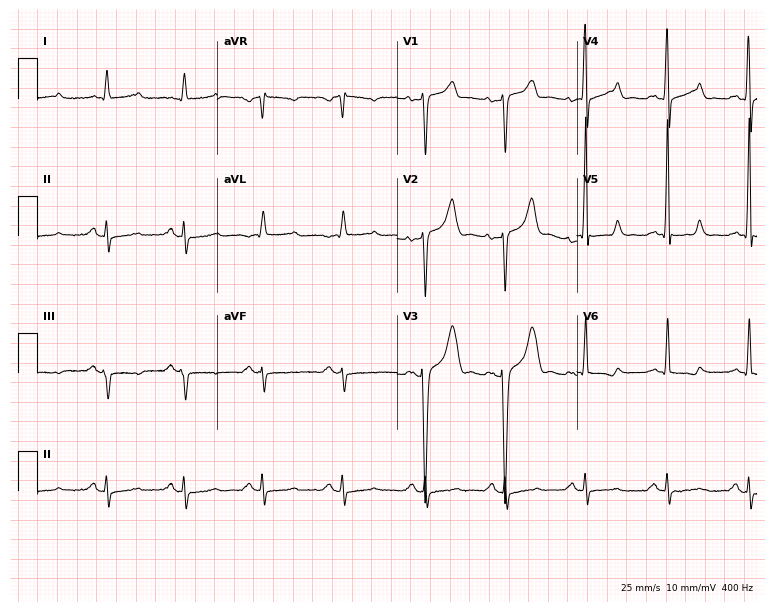
Electrocardiogram (7.3-second recording at 400 Hz), a 37-year-old man. Of the six screened findings (first-degree AV block, right bundle branch block, left bundle branch block, sinus bradycardia, atrial fibrillation, sinus tachycardia), none is recorded. Only these six findings were labelled.